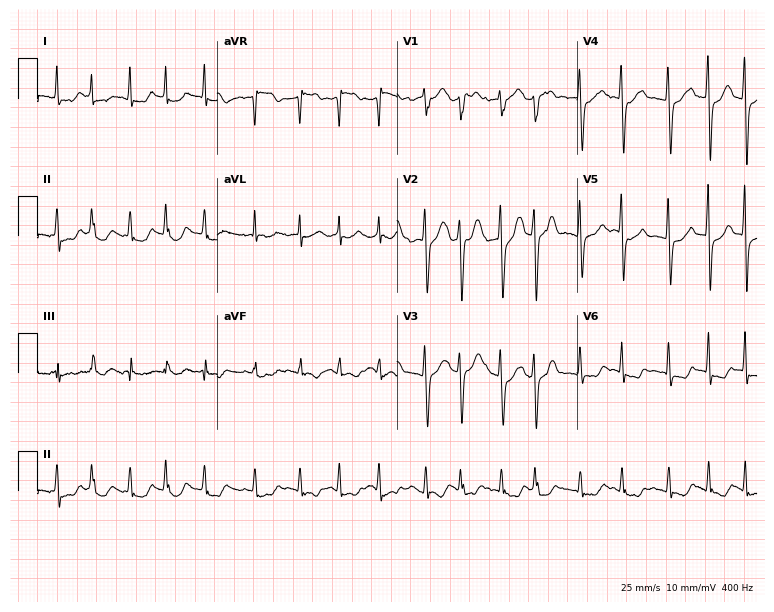
ECG — a female, 56 years old. Findings include atrial fibrillation.